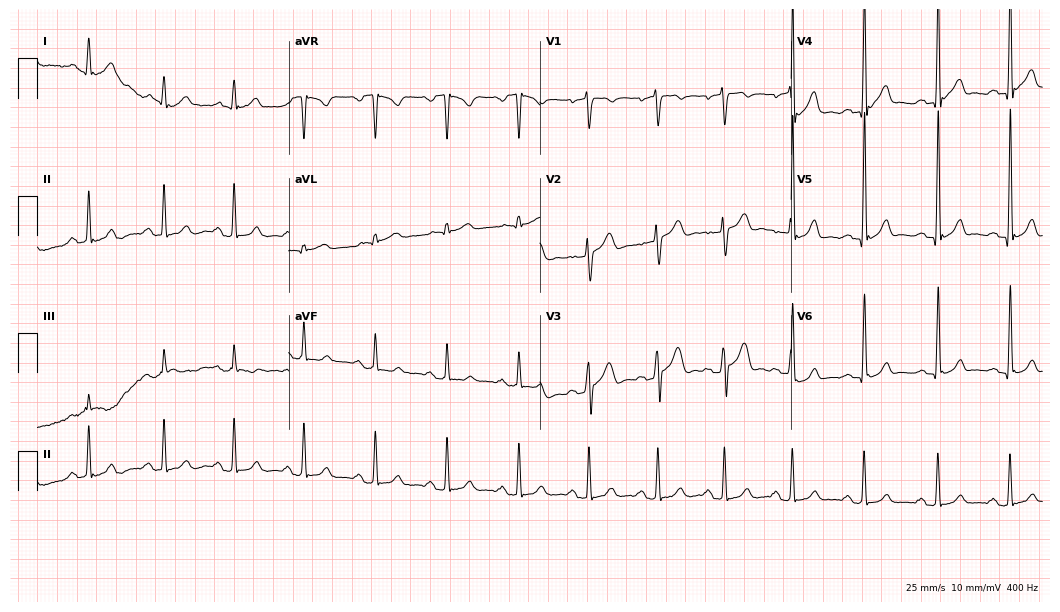
12-lead ECG from a man, 27 years old. Labelled as a normal ECG.